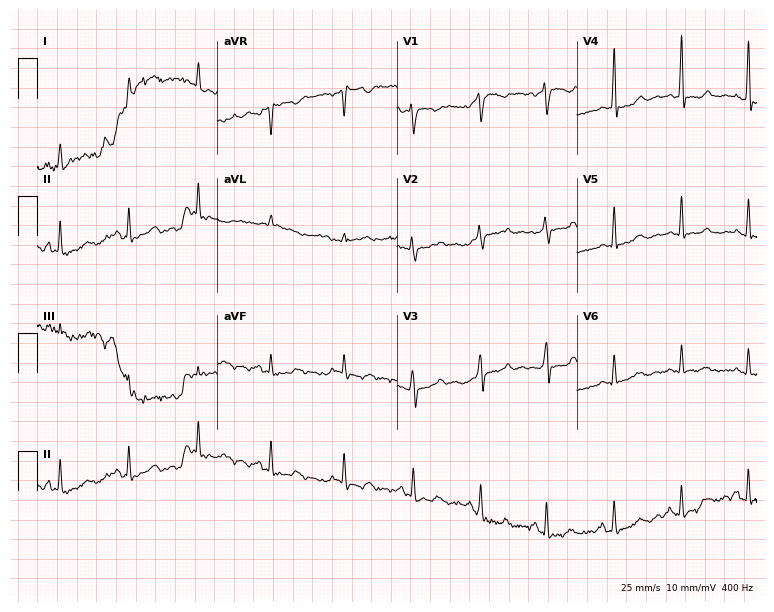
ECG — a 32-year-old female patient. Screened for six findings — first-degree AV block, right bundle branch block, left bundle branch block, sinus bradycardia, atrial fibrillation, sinus tachycardia — none is recorded.